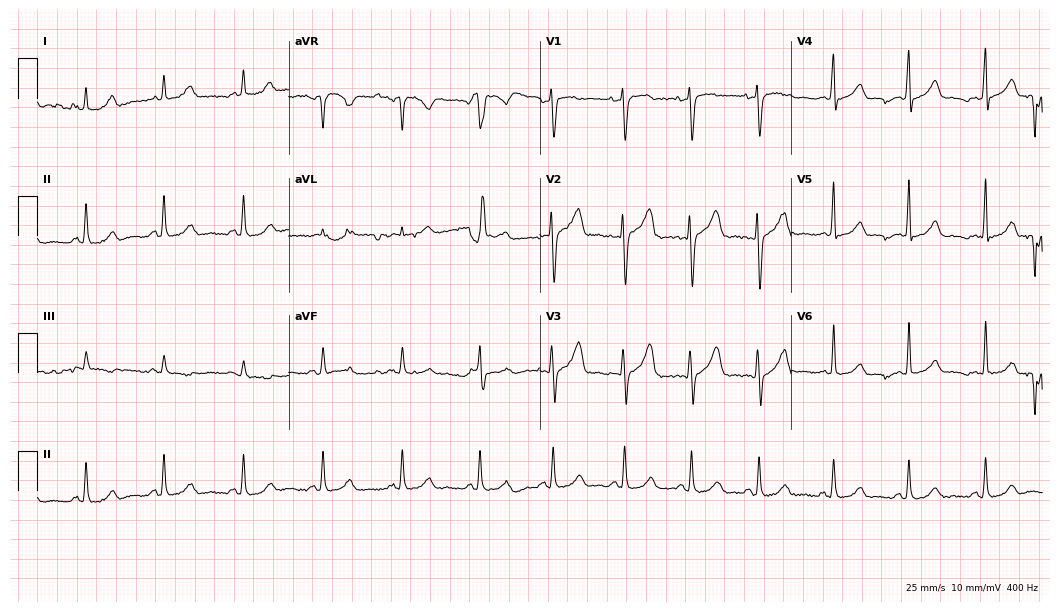
Standard 12-lead ECG recorded from a female, 29 years old. Read as a normal ECG.